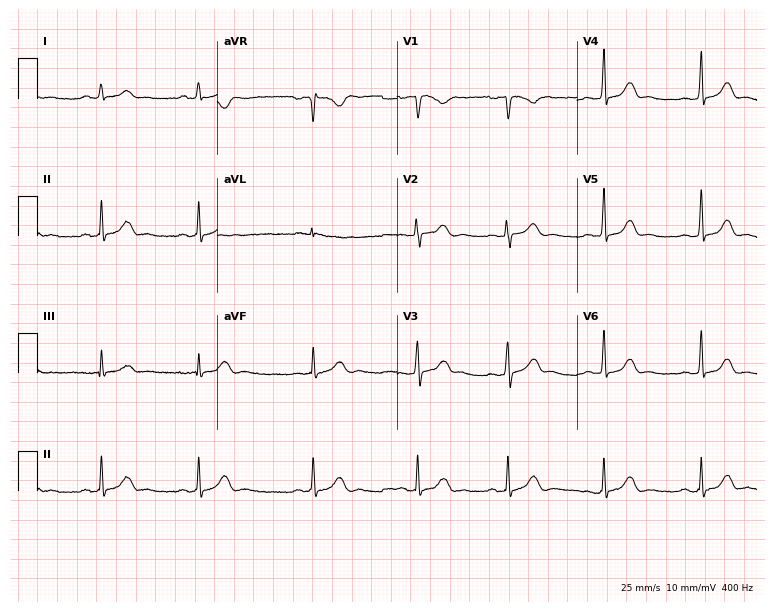
ECG — a 31-year-old female. Labelled as a normal ECG.